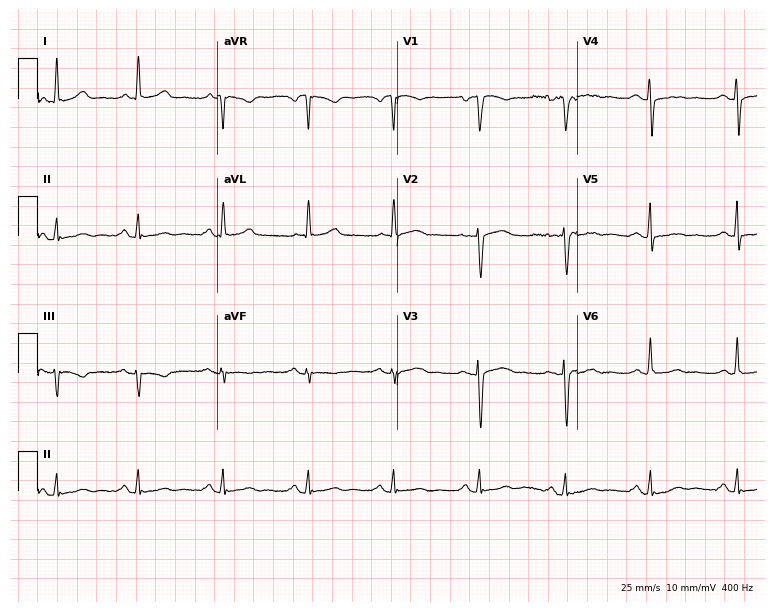
Electrocardiogram, a female, 58 years old. Of the six screened findings (first-degree AV block, right bundle branch block, left bundle branch block, sinus bradycardia, atrial fibrillation, sinus tachycardia), none is recorded. Findings outside these six are not listed.